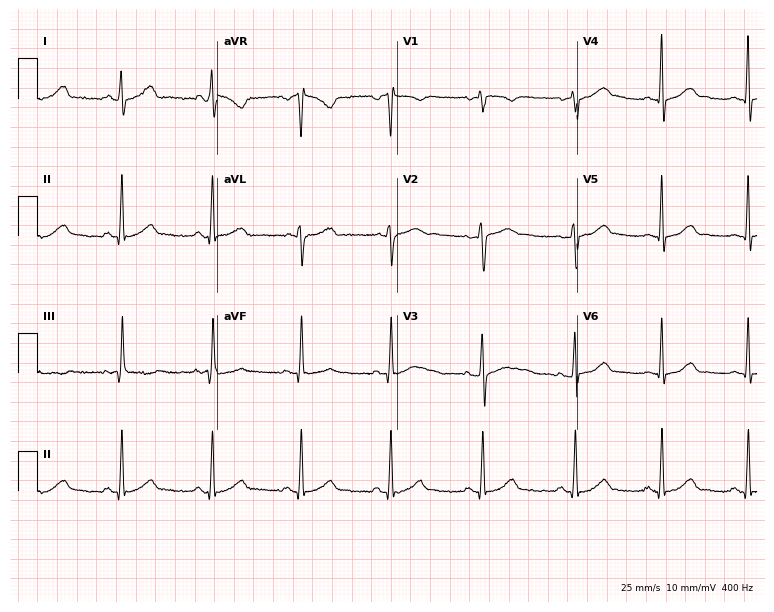
ECG — a female, 36 years old. Screened for six findings — first-degree AV block, right bundle branch block, left bundle branch block, sinus bradycardia, atrial fibrillation, sinus tachycardia — none is recorded. Findings outside these six are not listed.